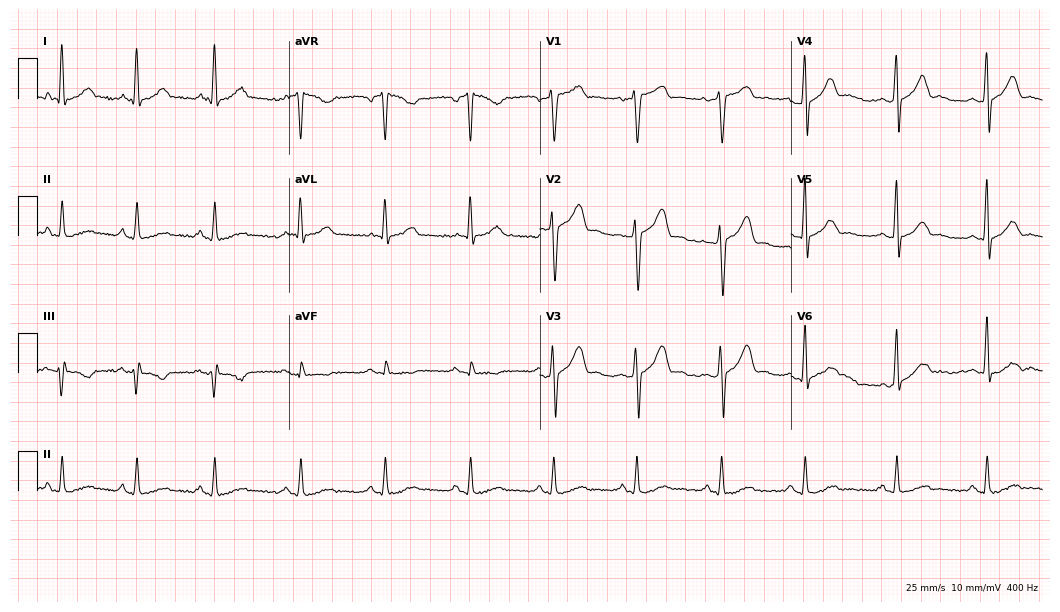
Standard 12-lead ECG recorded from a 43-year-old male. None of these six findings is recorded: first-degree AV block, right bundle branch block, left bundle branch block, sinus bradycardia, atrial fibrillation, sinus tachycardia. Findings outside these six are not listed.